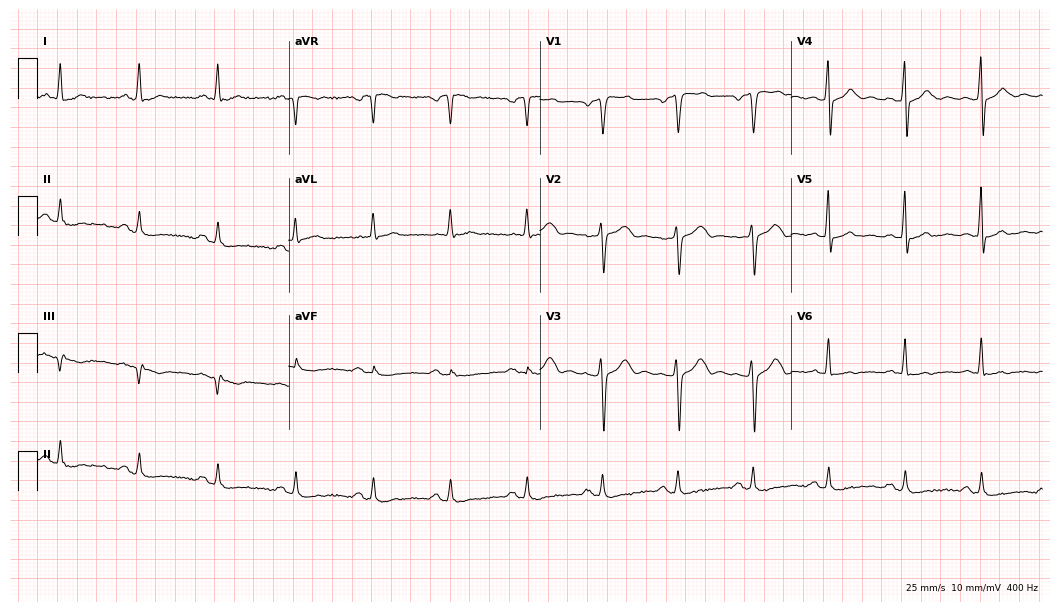
12-lead ECG from a 67-year-old male. No first-degree AV block, right bundle branch block, left bundle branch block, sinus bradycardia, atrial fibrillation or sinus tachycardia recorded for this tracing.